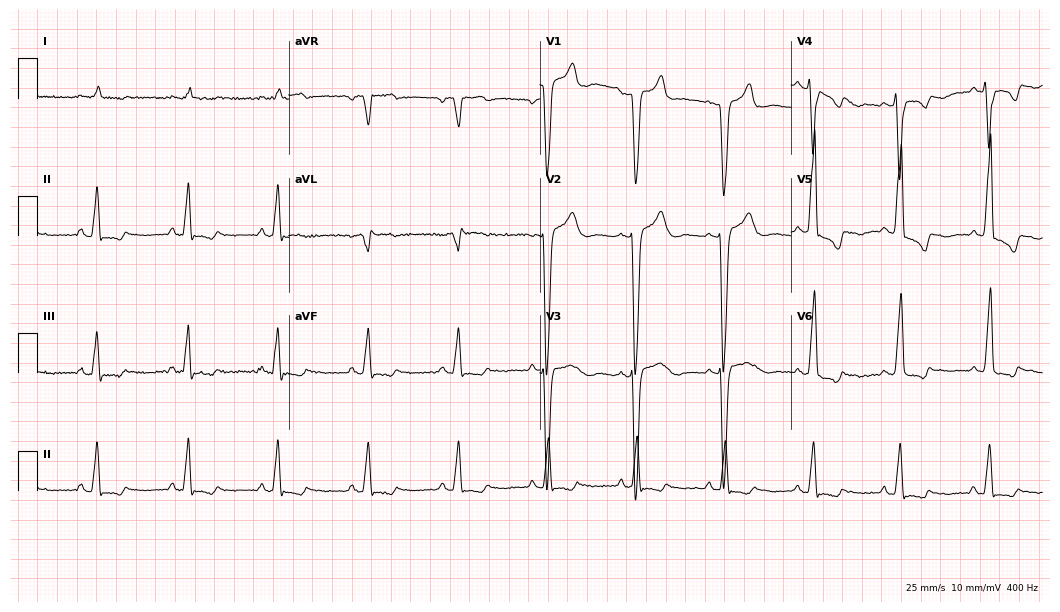
ECG — a man, 60 years old. Findings include left bundle branch block.